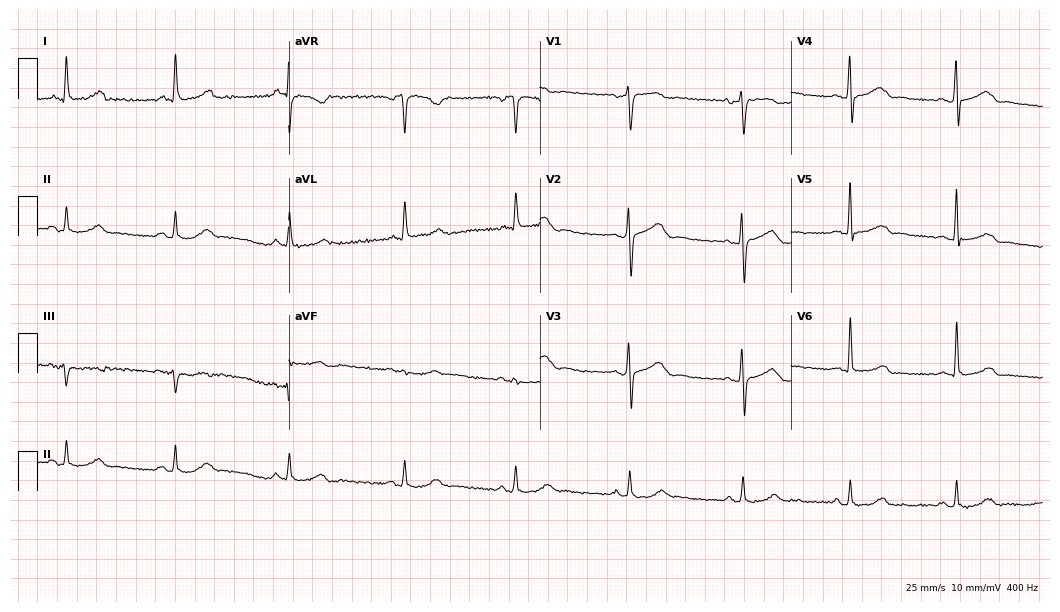
12-lead ECG from a 50-year-old female (10.2-second recording at 400 Hz). No first-degree AV block, right bundle branch block (RBBB), left bundle branch block (LBBB), sinus bradycardia, atrial fibrillation (AF) or sinus tachycardia recorded for this tracing.